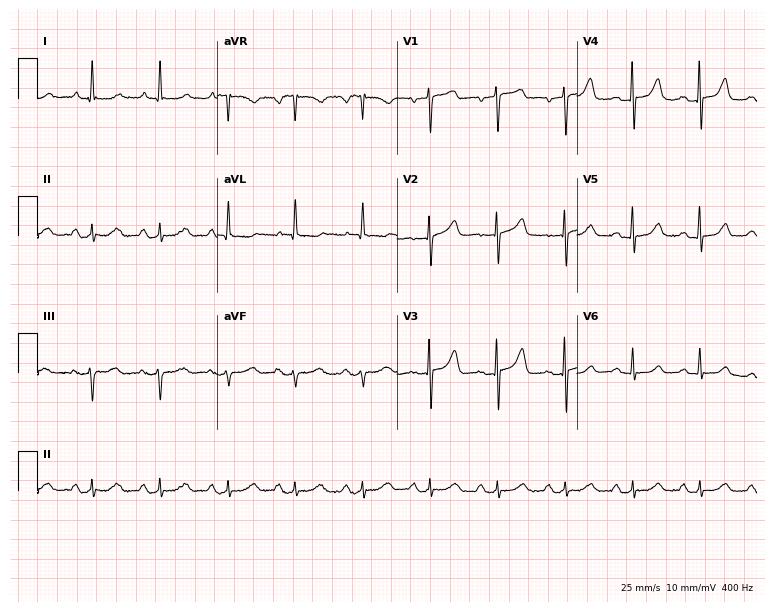
12-lead ECG from an 83-year-old female patient. Screened for six findings — first-degree AV block, right bundle branch block, left bundle branch block, sinus bradycardia, atrial fibrillation, sinus tachycardia — none is recorded. Other findings, if any, are not listed.